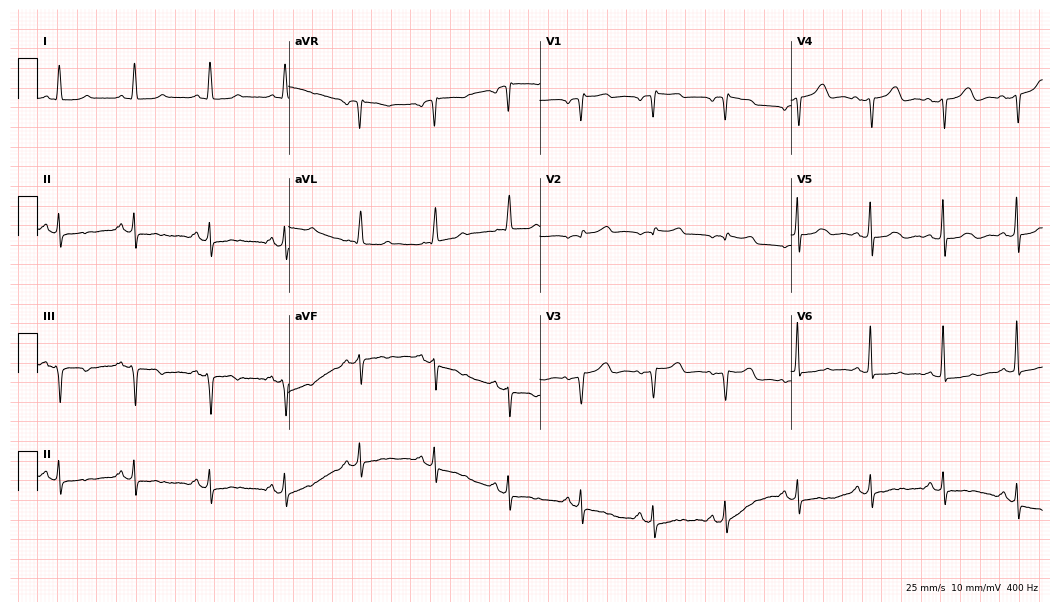
Resting 12-lead electrocardiogram. Patient: a 70-year-old woman. None of these six findings is recorded: first-degree AV block, right bundle branch block, left bundle branch block, sinus bradycardia, atrial fibrillation, sinus tachycardia.